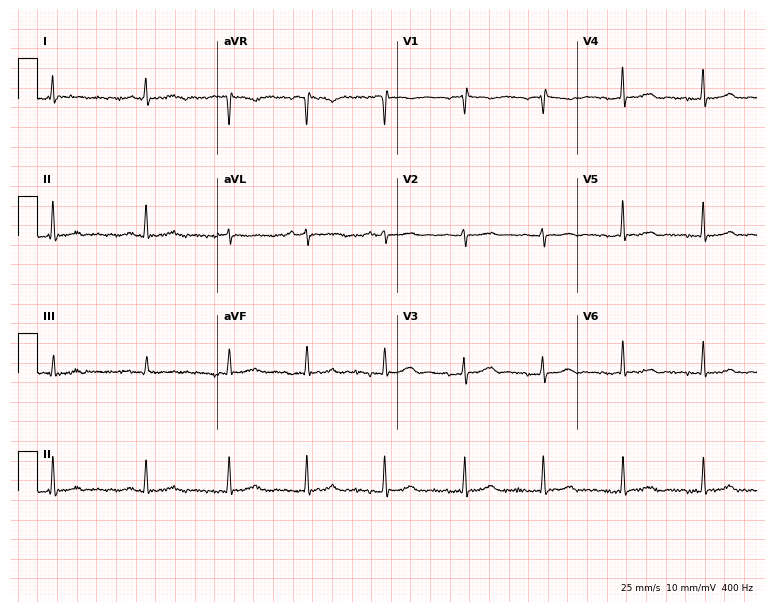
12-lead ECG from a woman, 62 years old. Screened for six findings — first-degree AV block, right bundle branch block (RBBB), left bundle branch block (LBBB), sinus bradycardia, atrial fibrillation (AF), sinus tachycardia — none is recorded. Other findings, if any, are not listed.